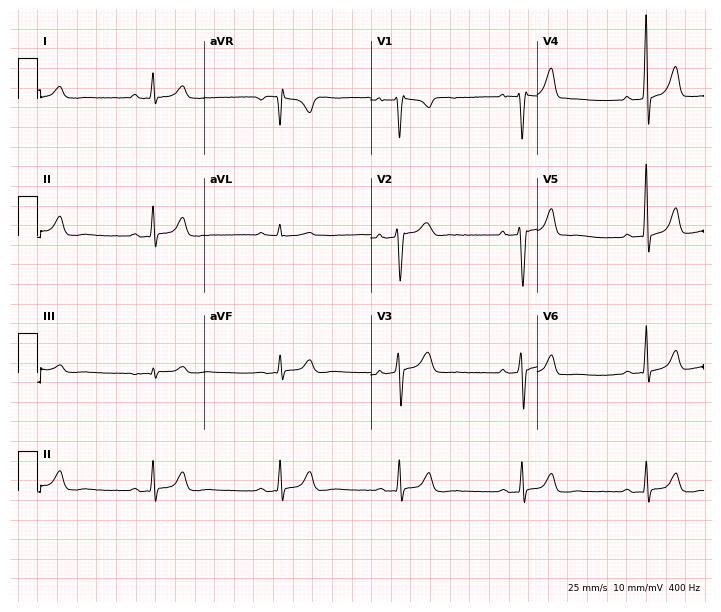
ECG — a 47-year-old male. Findings include sinus bradycardia (a sinus rate of 50 beats per minute or less).